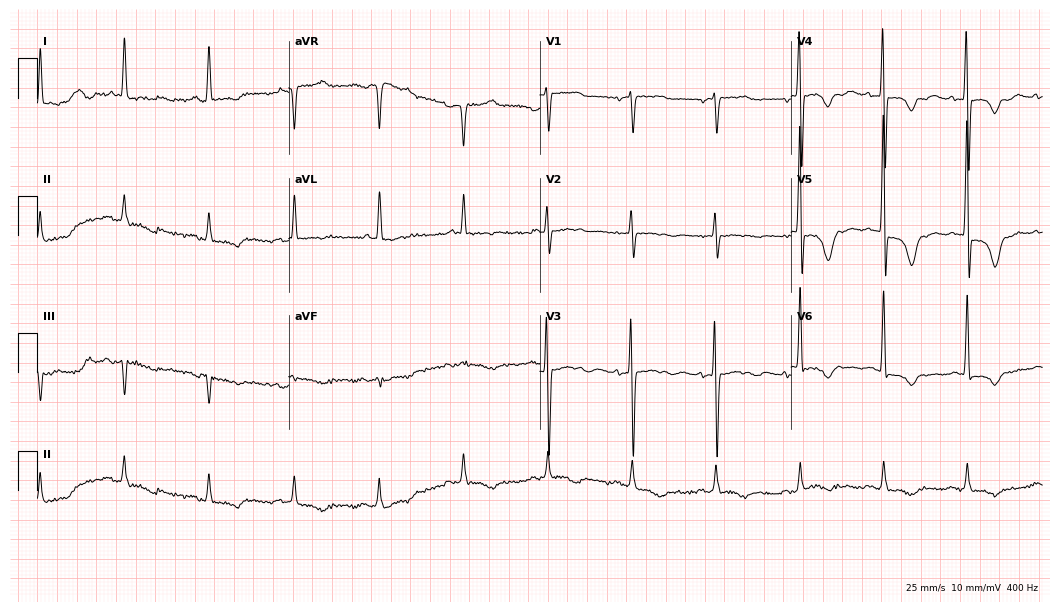
12-lead ECG (10.2-second recording at 400 Hz) from a female, 74 years old. Screened for six findings — first-degree AV block, right bundle branch block, left bundle branch block, sinus bradycardia, atrial fibrillation, sinus tachycardia — none is recorded. Other findings, if any, are not listed.